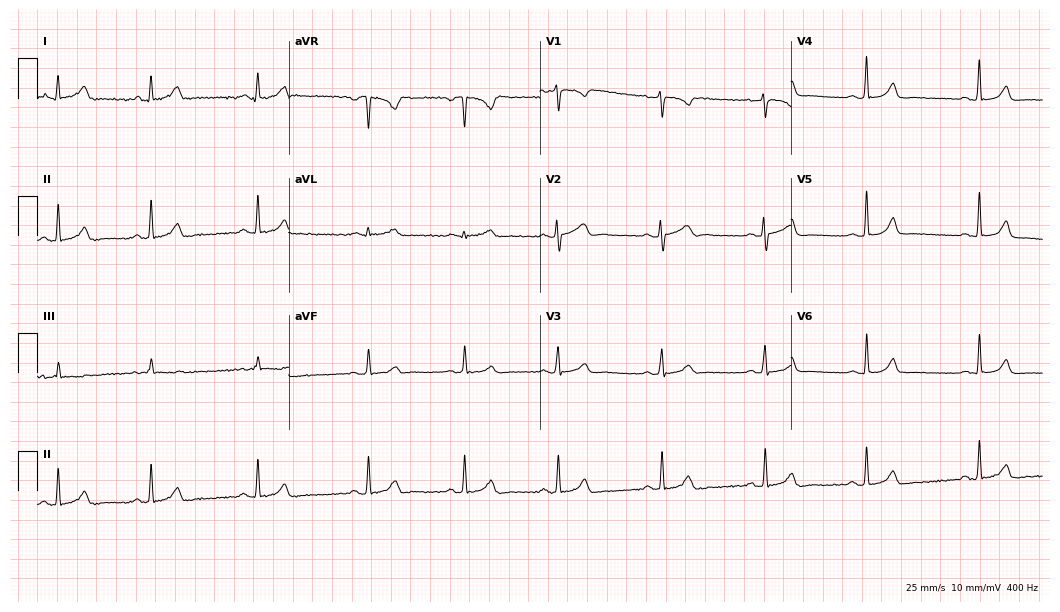
Standard 12-lead ECG recorded from a female, 33 years old. Read as a normal ECG.